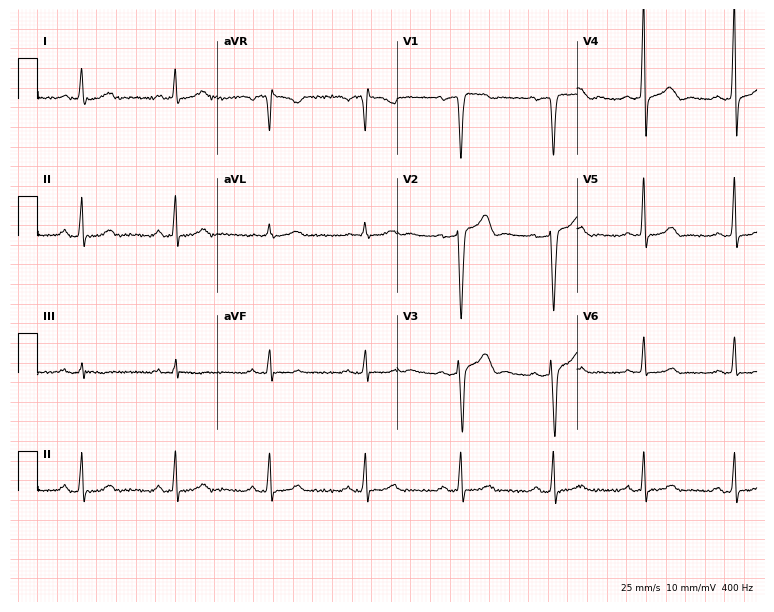
ECG (7.3-second recording at 400 Hz) — a 42-year-old man. Labelled as a normal ECG.